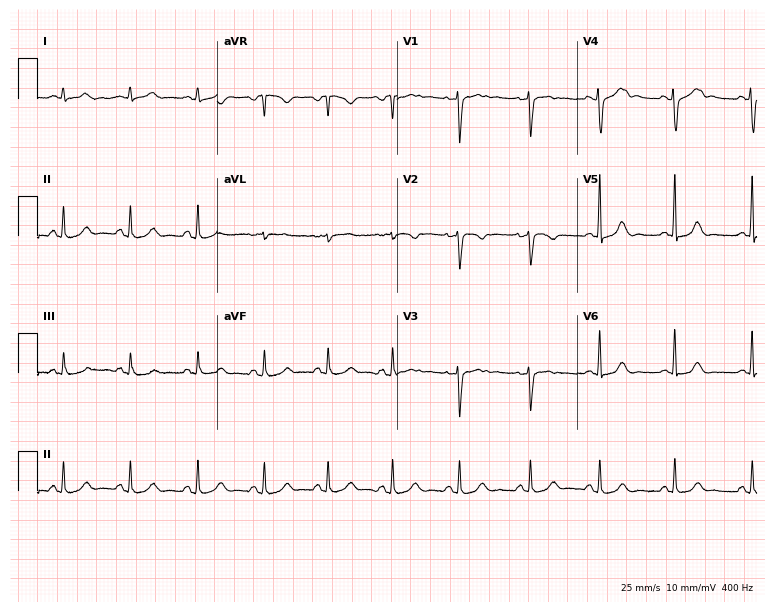
Electrocardiogram, a 36-year-old woman. Of the six screened findings (first-degree AV block, right bundle branch block, left bundle branch block, sinus bradycardia, atrial fibrillation, sinus tachycardia), none is recorded. Findings outside these six are not listed.